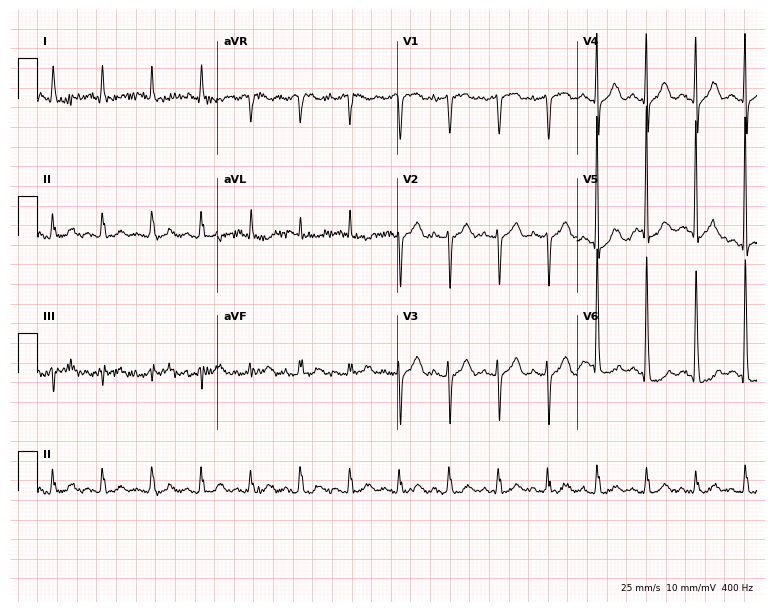
ECG — a woman, 73 years old. Screened for six findings — first-degree AV block, right bundle branch block (RBBB), left bundle branch block (LBBB), sinus bradycardia, atrial fibrillation (AF), sinus tachycardia — none is recorded. Findings outside these six are not listed.